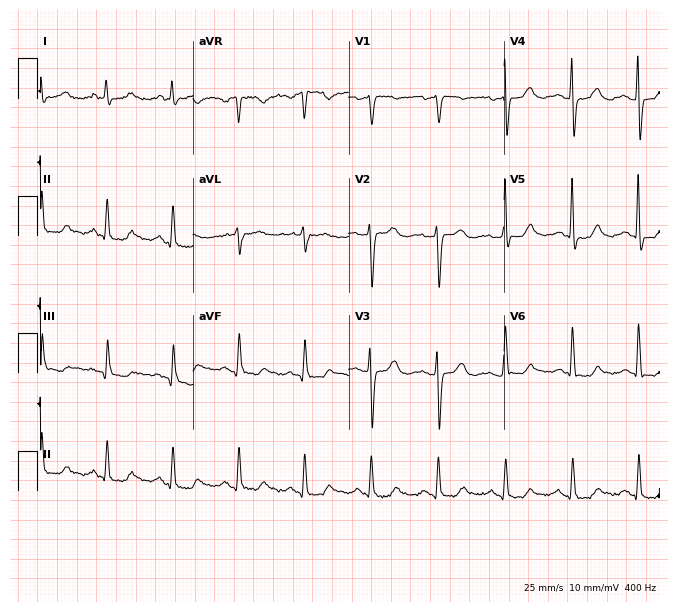
ECG — a female patient, 66 years old. Screened for six findings — first-degree AV block, right bundle branch block (RBBB), left bundle branch block (LBBB), sinus bradycardia, atrial fibrillation (AF), sinus tachycardia — none is recorded.